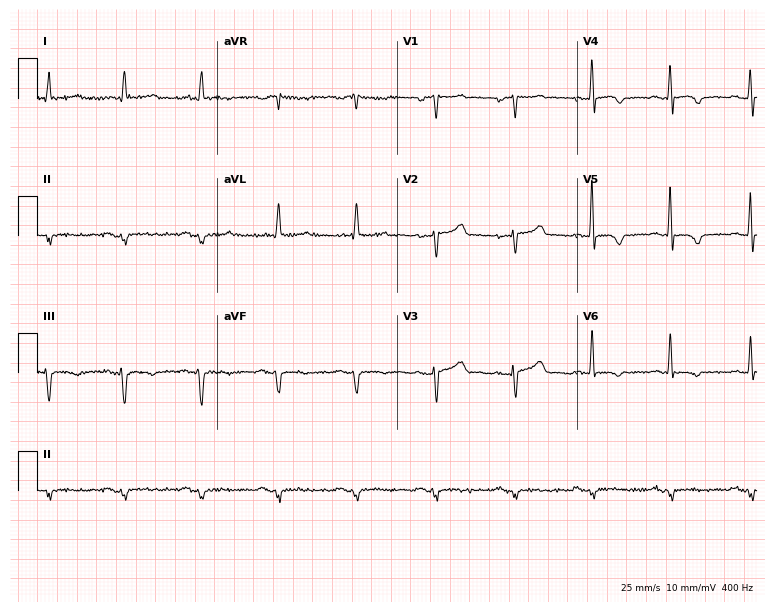
Resting 12-lead electrocardiogram. Patient: a man, 70 years old. None of these six findings is recorded: first-degree AV block, right bundle branch block, left bundle branch block, sinus bradycardia, atrial fibrillation, sinus tachycardia. Only these six findings were labelled.